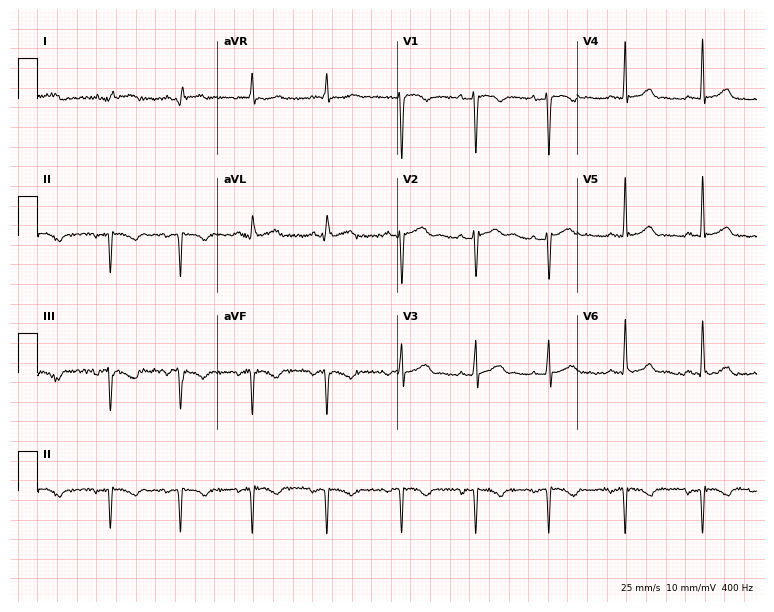
Resting 12-lead electrocardiogram. Patient: a woman, 23 years old. None of these six findings is recorded: first-degree AV block, right bundle branch block, left bundle branch block, sinus bradycardia, atrial fibrillation, sinus tachycardia. Only these six findings were labelled.